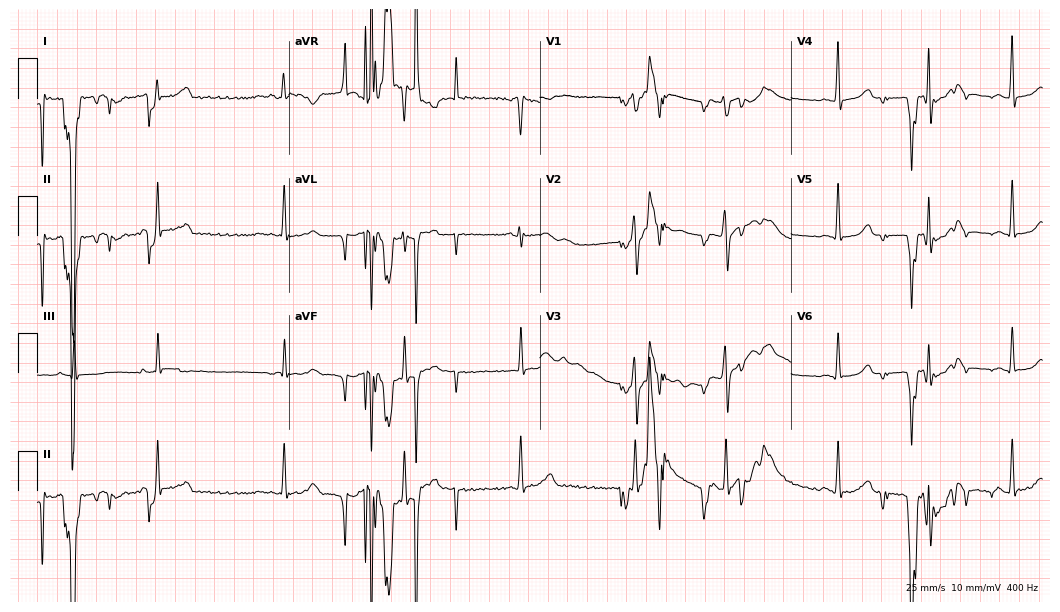
ECG — a 28-year-old female. Screened for six findings — first-degree AV block, right bundle branch block, left bundle branch block, sinus bradycardia, atrial fibrillation, sinus tachycardia — none is recorded. Only these six findings were labelled.